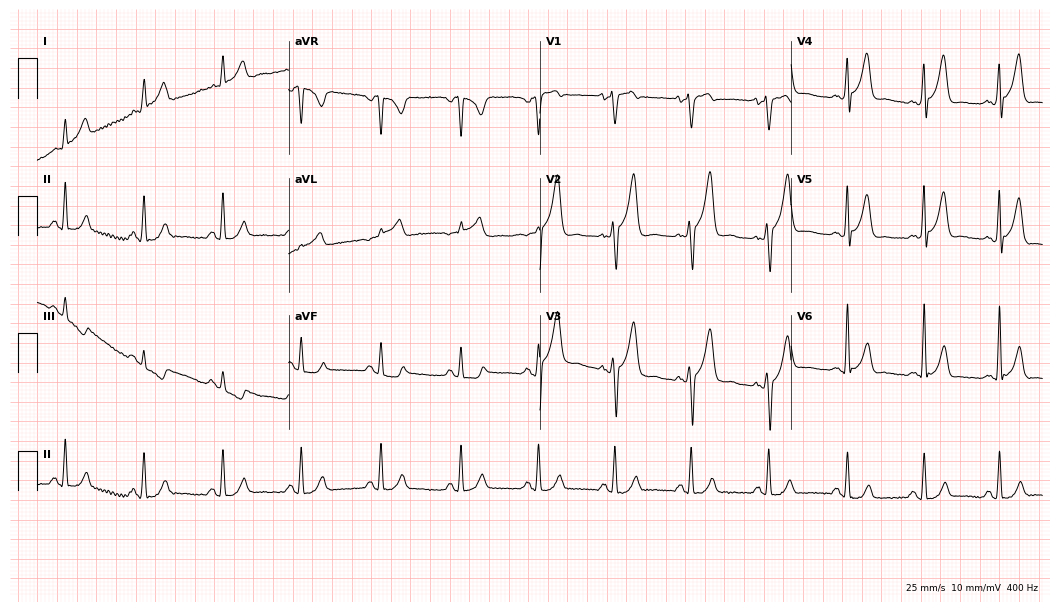
12-lead ECG from a male patient, 51 years old (10.2-second recording at 400 Hz). No first-degree AV block, right bundle branch block (RBBB), left bundle branch block (LBBB), sinus bradycardia, atrial fibrillation (AF) or sinus tachycardia recorded for this tracing.